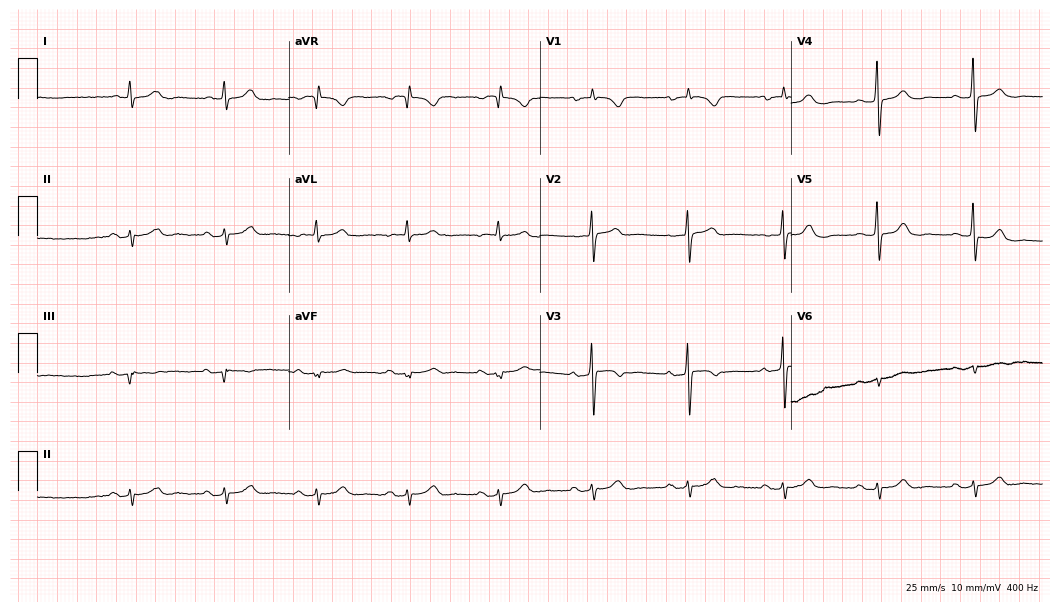
12-lead ECG from an 83-year-old woman. No first-degree AV block, right bundle branch block, left bundle branch block, sinus bradycardia, atrial fibrillation or sinus tachycardia recorded for this tracing. Other findings, if any, are not listed.